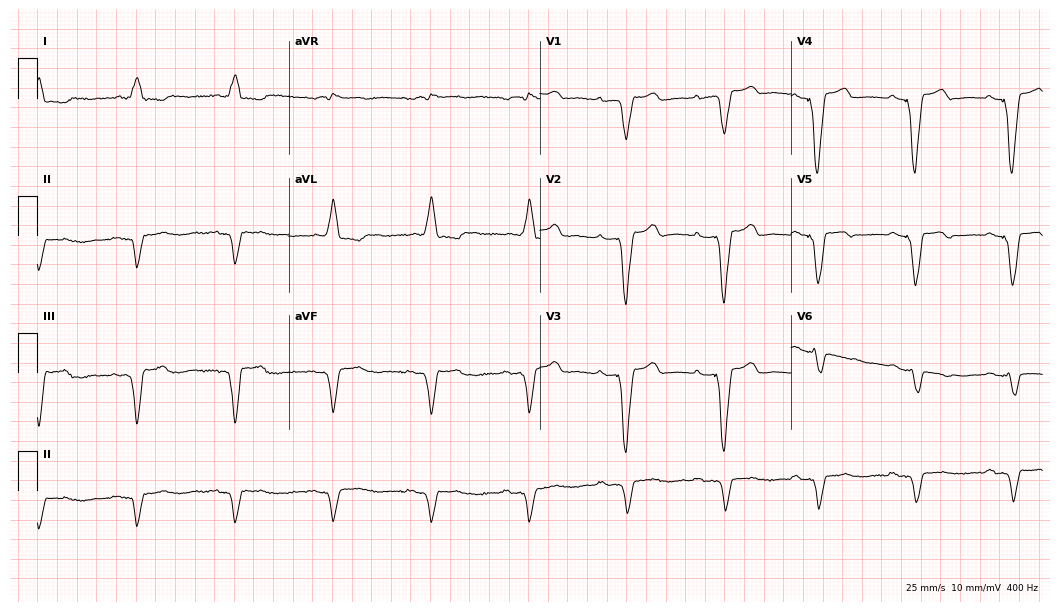
12-lead ECG from a 75-year-old female. Screened for six findings — first-degree AV block, right bundle branch block, left bundle branch block, sinus bradycardia, atrial fibrillation, sinus tachycardia — none is recorded.